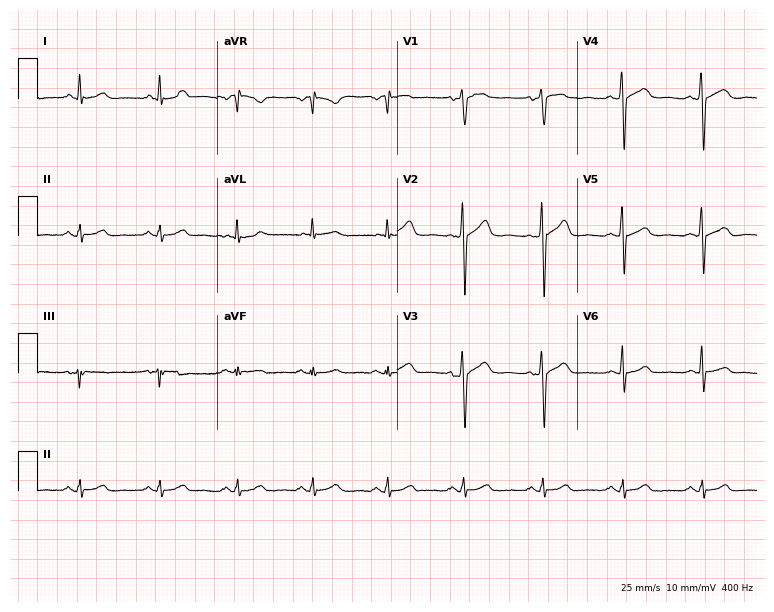
ECG (7.3-second recording at 400 Hz) — a 39-year-old man. Labelled as a normal ECG.